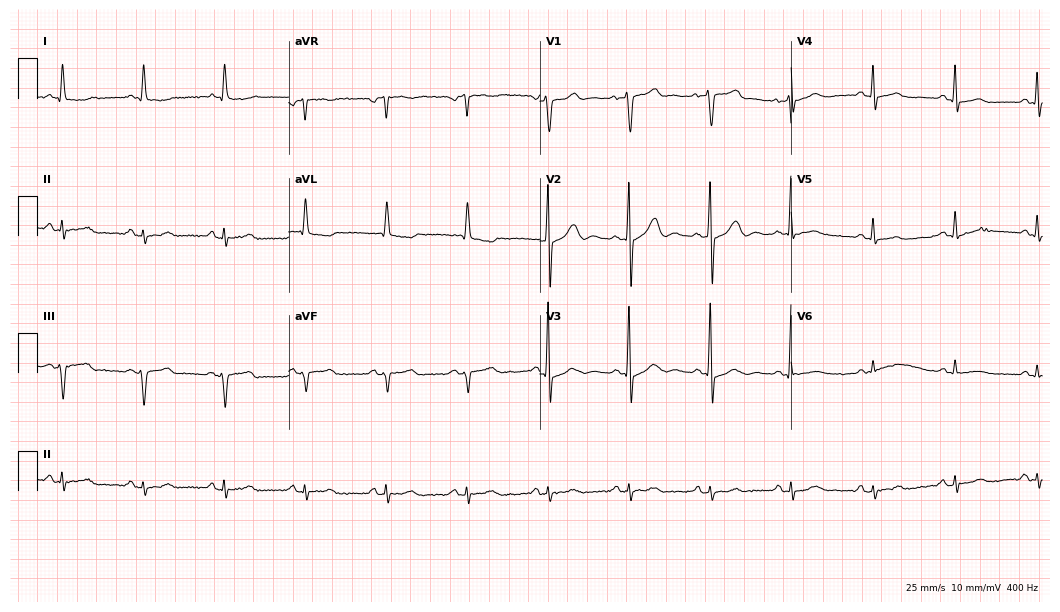
ECG — a man, 67 years old. Screened for six findings — first-degree AV block, right bundle branch block, left bundle branch block, sinus bradycardia, atrial fibrillation, sinus tachycardia — none is recorded.